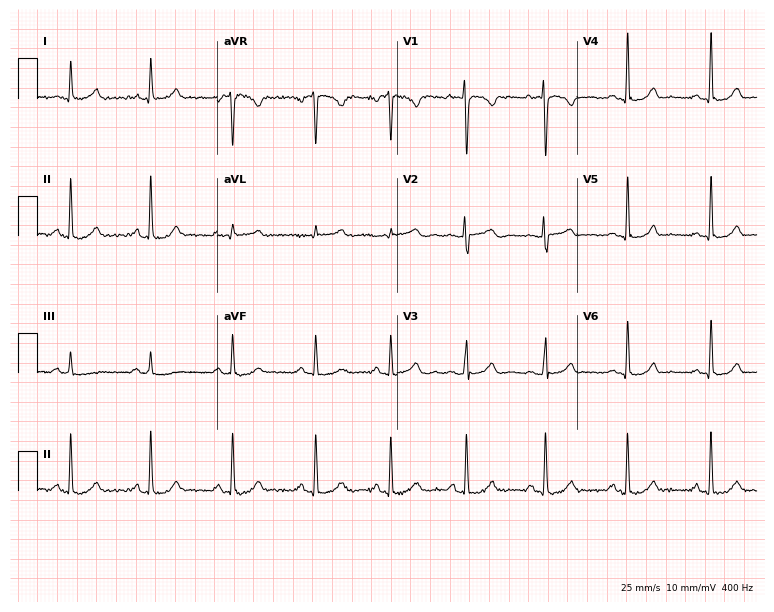
Electrocardiogram, a female, 31 years old. Overall reading on record: normal ECG.